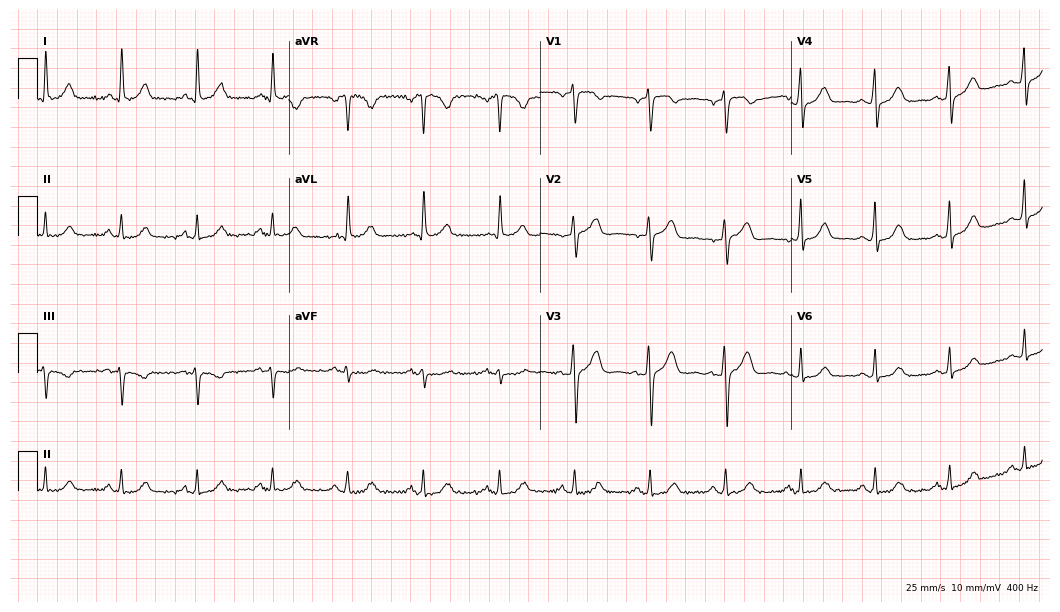
12-lead ECG from a female patient, 73 years old (10.2-second recording at 400 Hz). Recorded interpretation: within normal limits.